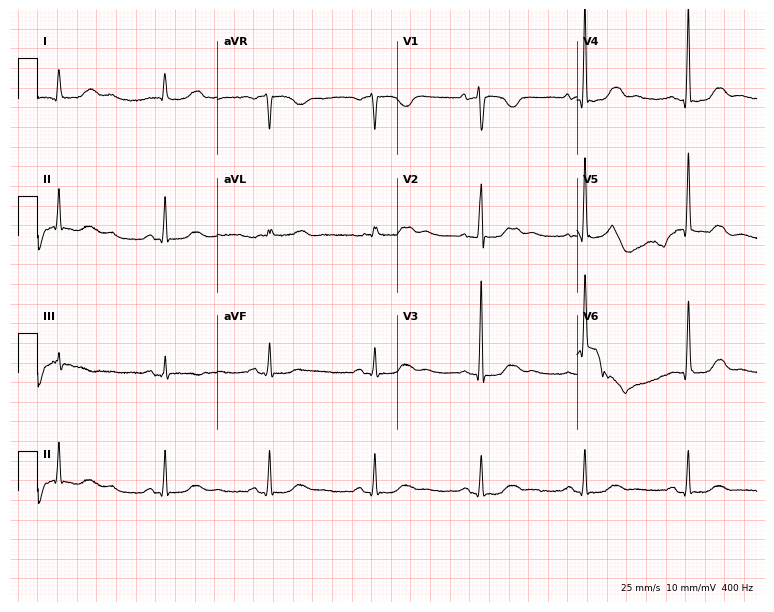
12-lead ECG (7.3-second recording at 400 Hz) from a female, 72 years old. Labelled as a normal ECG.